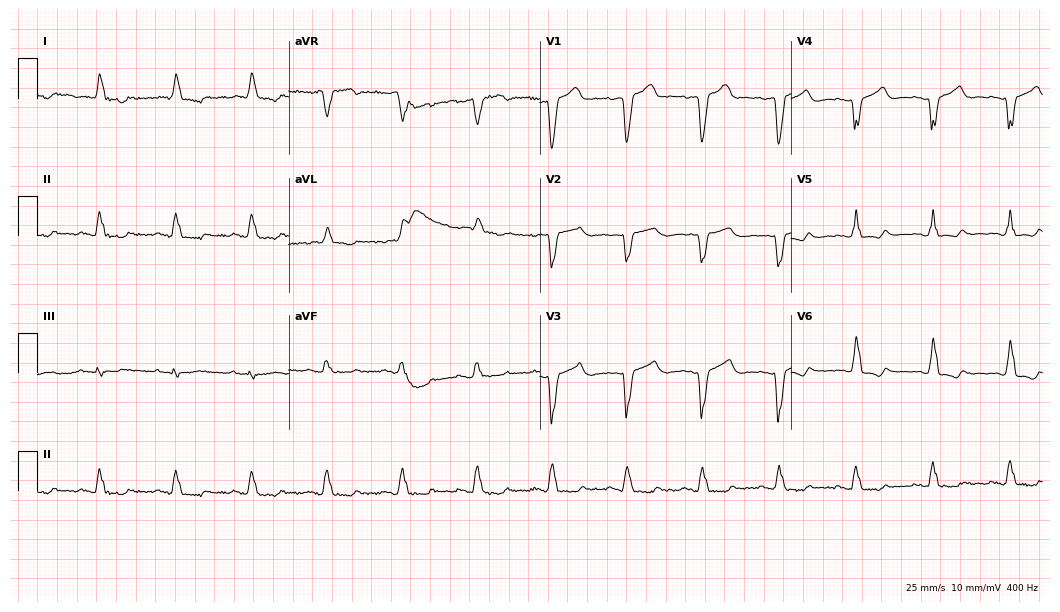
Standard 12-lead ECG recorded from an 80-year-old male. The tracing shows left bundle branch block.